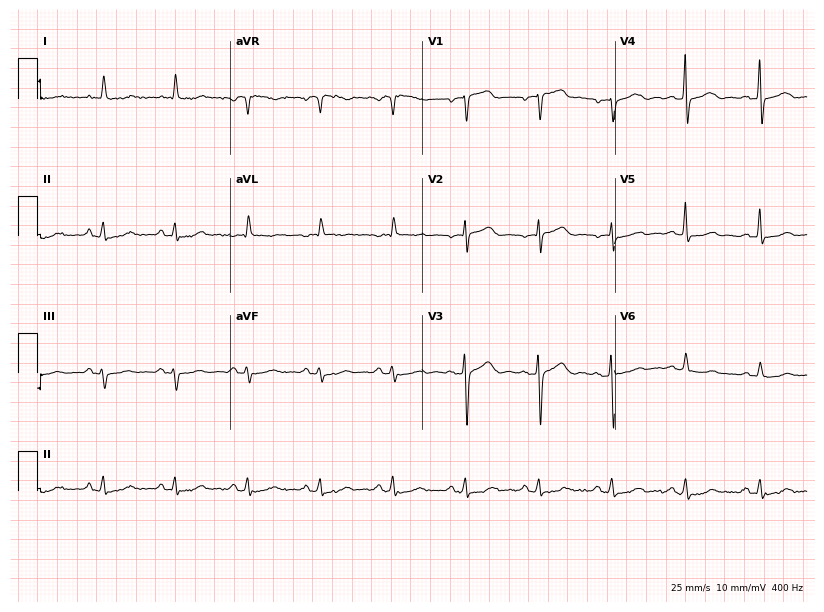
12-lead ECG from an 84-year-old female (7.8-second recording at 400 Hz). No first-degree AV block, right bundle branch block (RBBB), left bundle branch block (LBBB), sinus bradycardia, atrial fibrillation (AF) or sinus tachycardia recorded for this tracing.